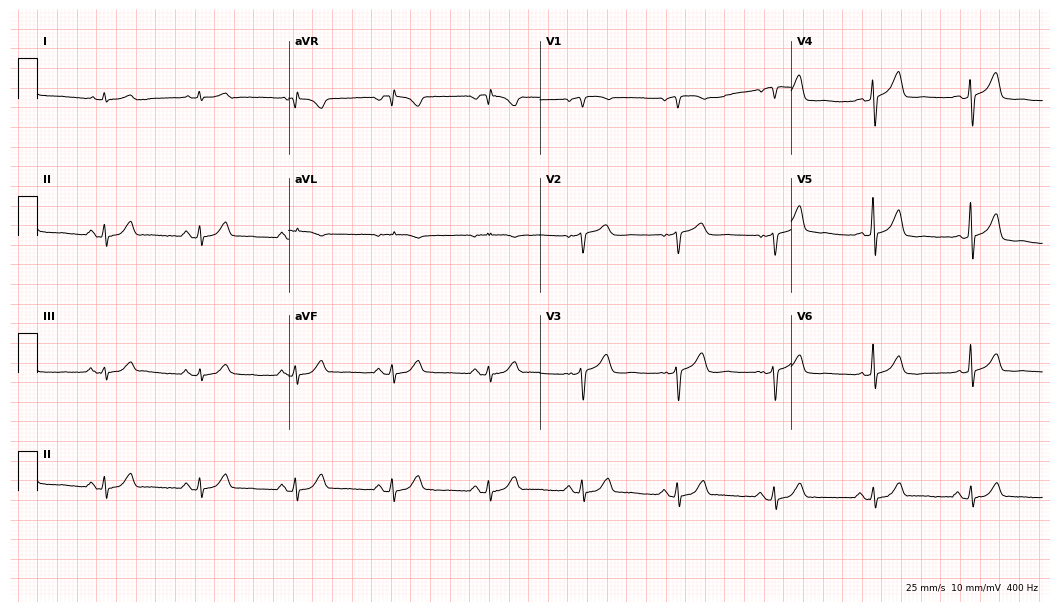
12-lead ECG from a 74-year-old man (10.2-second recording at 400 Hz). Recorded interpretation: within normal limits.